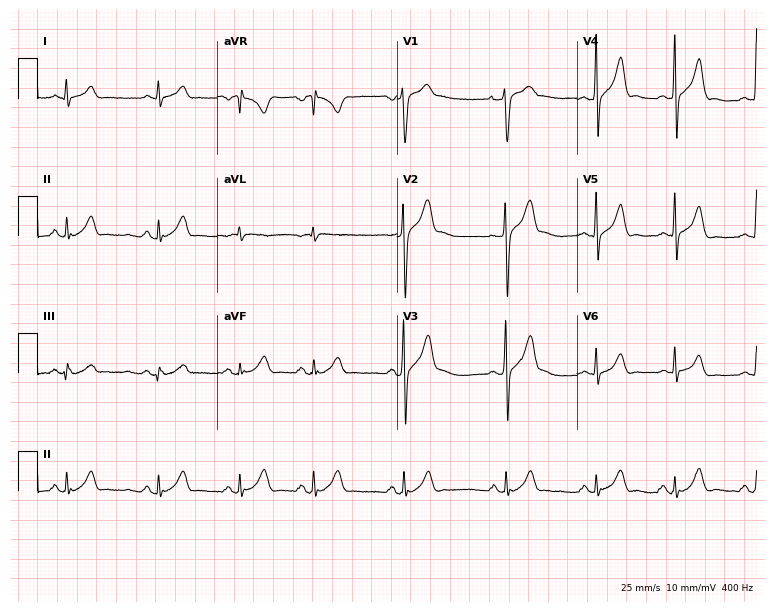
12-lead ECG from a male patient, 17 years old. Recorded interpretation: within normal limits.